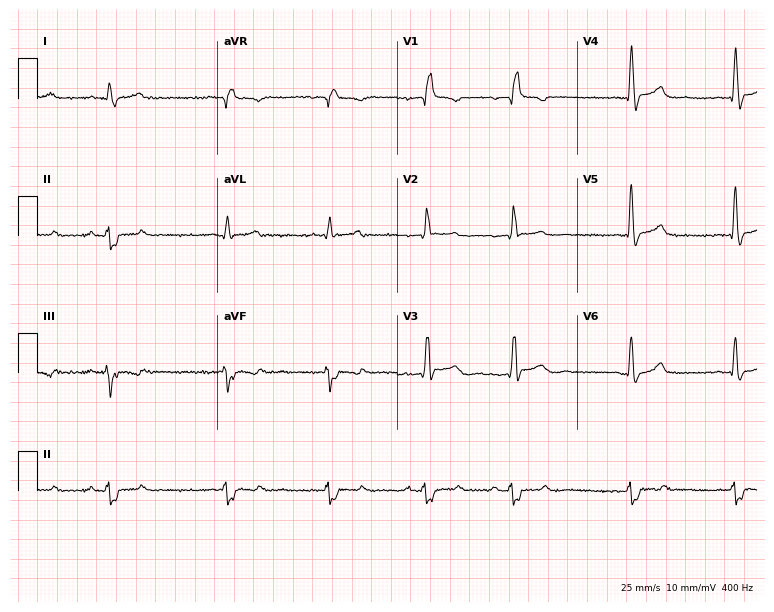
ECG (7.3-second recording at 400 Hz) — a male patient, 37 years old. Findings include right bundle branch block (RBBB).